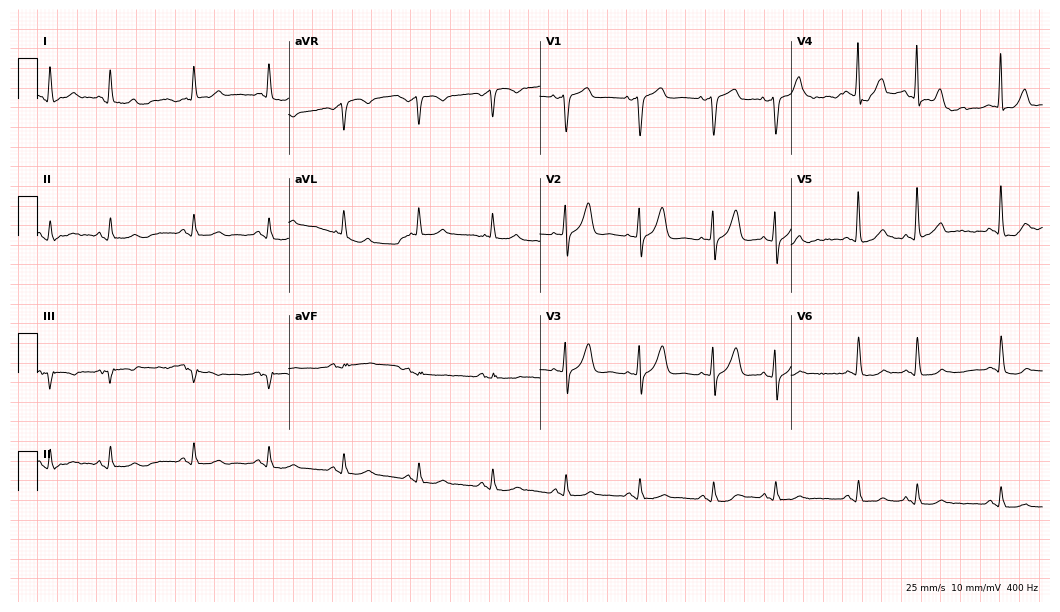
12-lead ECG from a male, 79 years old. No first-degree AV block, right bundle branch block (RBBB), left bundle branch block (LBBB), sinus bradycardia, atrial fibrillation (AF) or sinus tachycardia recorded for this tracing. Other findings, if any, are not listed.